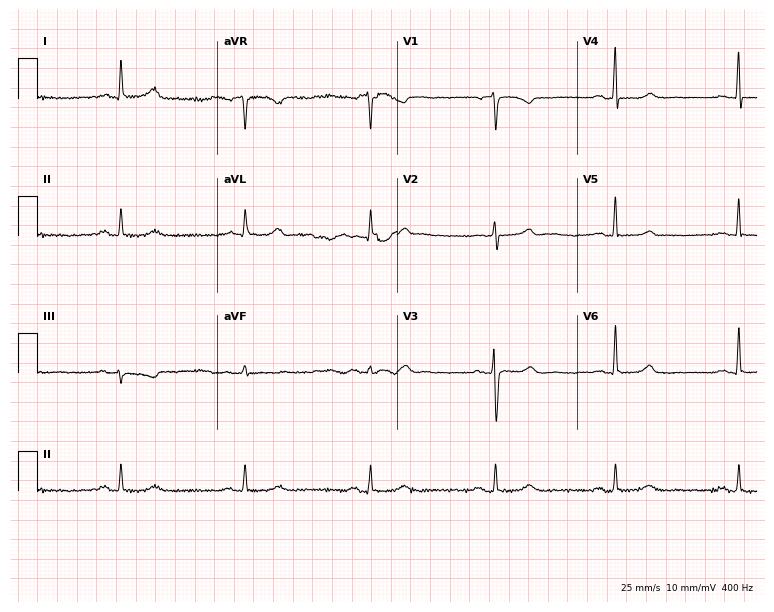
12-lead ECG from a female patient, 62 years old. Labelled as a normal ECG.